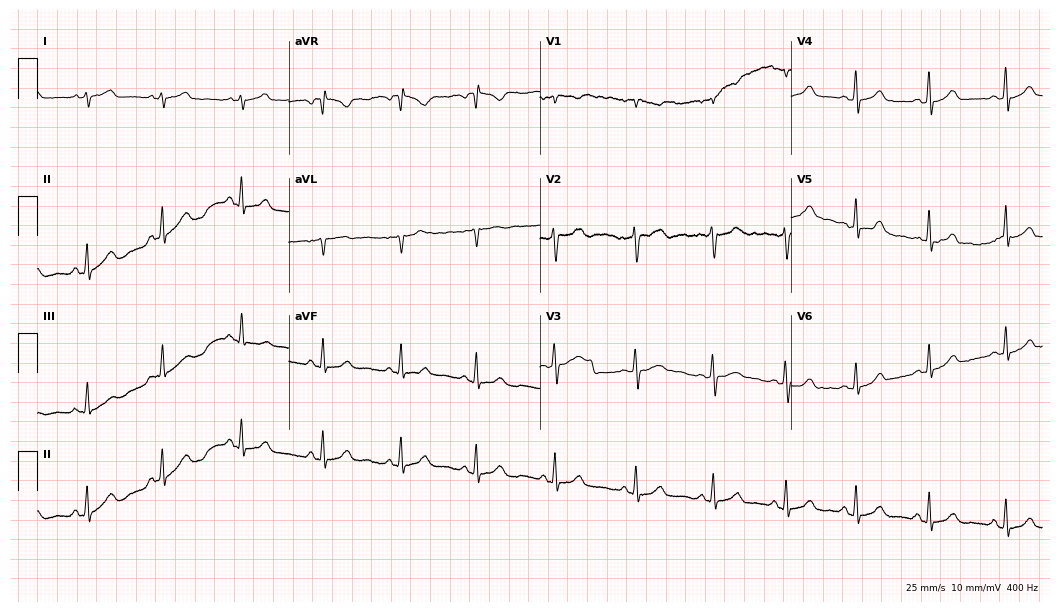
Electrocardiogram, a female, 30 years old. Overall reading on record: normal ECG.